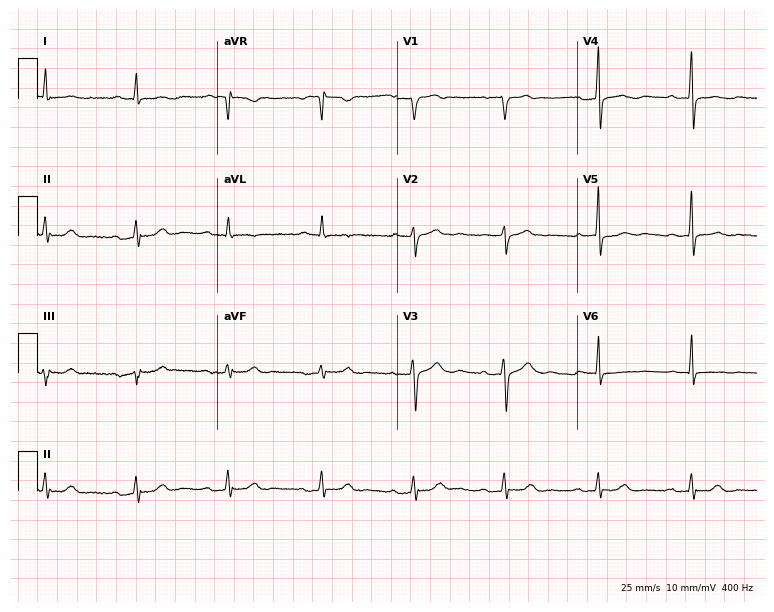
ECG (7.3-second recording at 400 Hz) — an 80-year-old male patient. Screened for six findings — first-degree AV block, right bundle branch block (RBBB), left bundle branch block (LBBB), sinus bradycardia, atrial fibrillation (AF), sinus tachycardia — none is recorded.